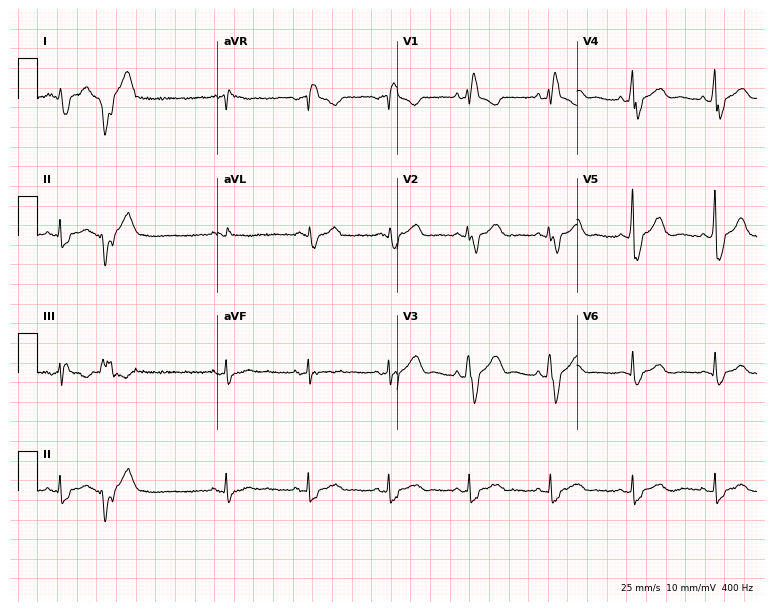
Electrocardiogram, a 41-year-old male. Interpretation includes right bundle branch block.